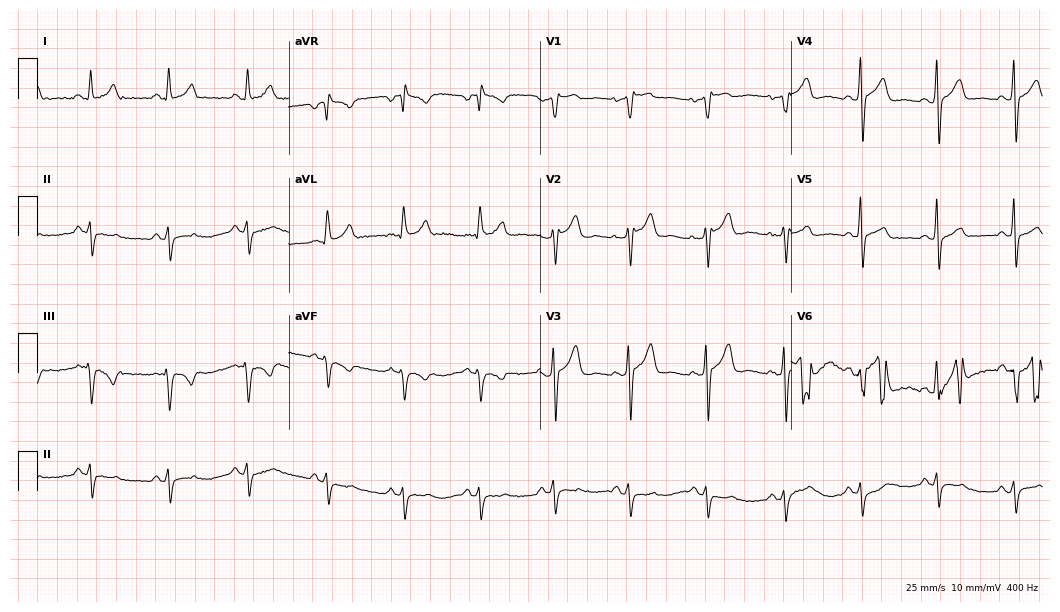
12-lead ECG from a male, 37 years old (10.2-second recording at 400 Hz). No first-degree AV block, right bundle branch block, left bundle branch block, sinus bradycardia, atrial fibrillation or sinus tachycardia recorded for this tracing. Findings outside these six are not listed.